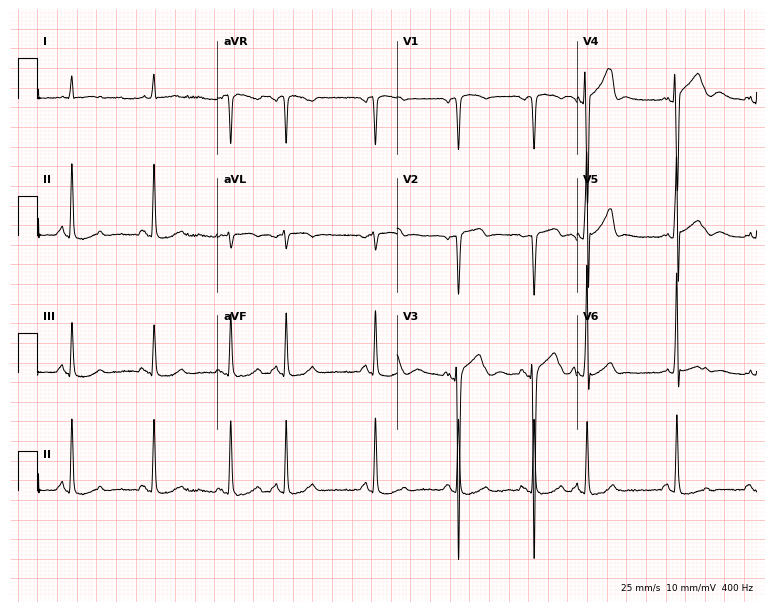
12-lead ECG from a man, 85 years old. Screened for six findings — first-degree AV block, right bundle branch block (RBBB), left bundle branch block (LBBB), sinus bradycardia, atrial fibrillation (AF), sinus tachycardia — none is recorded.